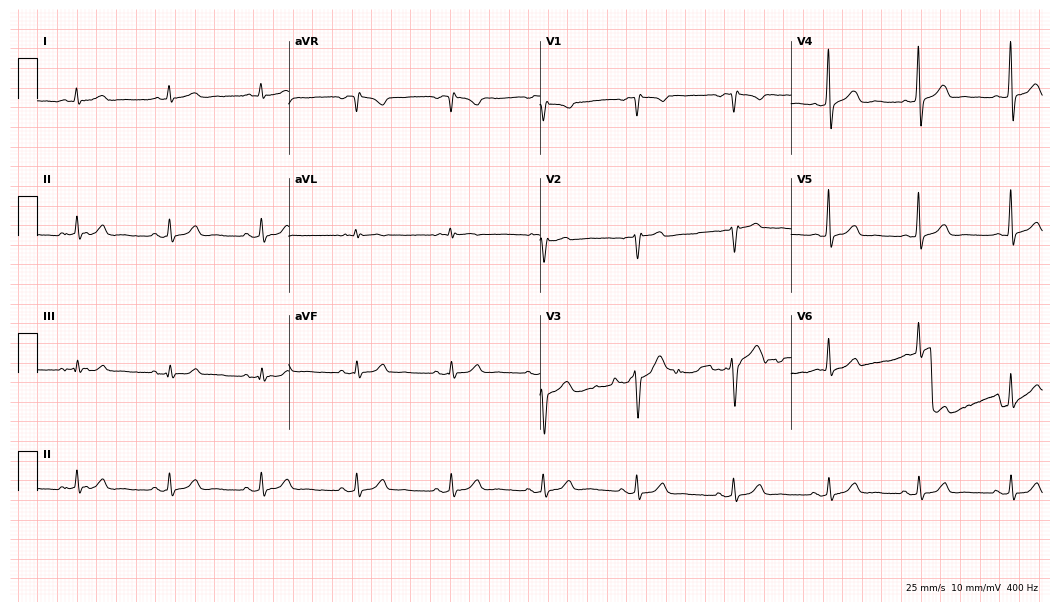
ECG — a male, 53 years old. Screened for six findings — first-degree AV block, right bundle branch block, left bundle branch block, sinus bradycardia, atrial fibrillation, sinus tachycardia — none is recorded. Only these six findings were labelled.